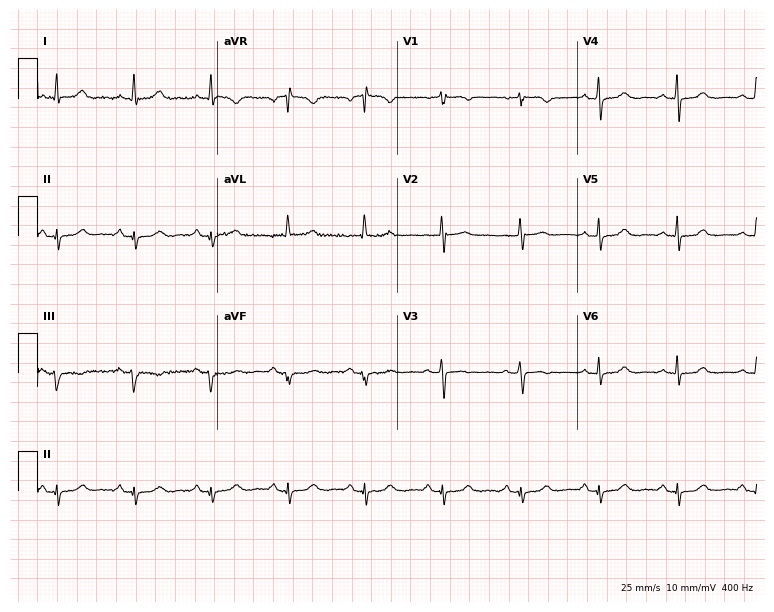
Standard 12-lead ECG recorded from a female, 66 years old. None of these six findings is recorded: first-degree AV block, right bundle branch block (RBBB), left bundle branch block (LBBB), sinus bradycardia, atrial fibrillation (AF), sinus tachycardia.